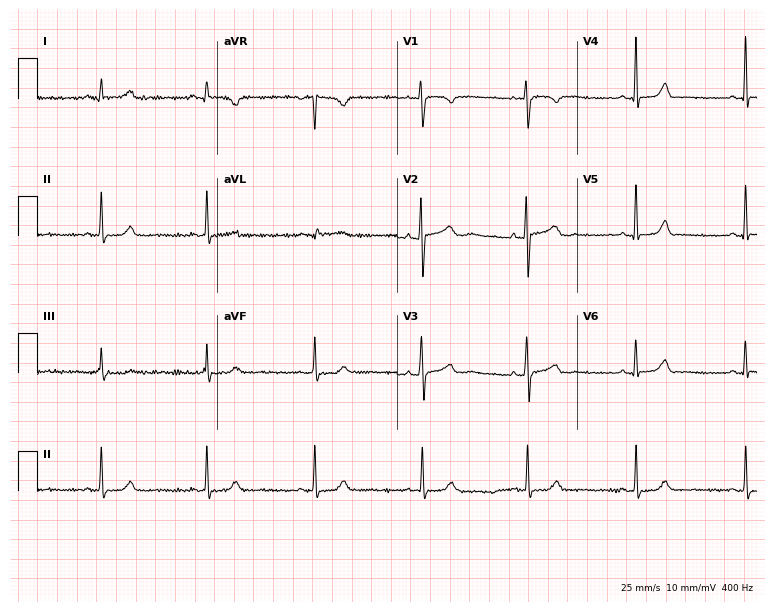
Standard 12-lead ECG recorded from a female patient, 43 years old. None of these six findings is recorded: first-degree AV block, right bundle branch block (RBBB), left bundle branch block (LBBB), sinus bradycardia, atrial fibrillation (AF), sinus tachycardia. Only these six findings were labelled.